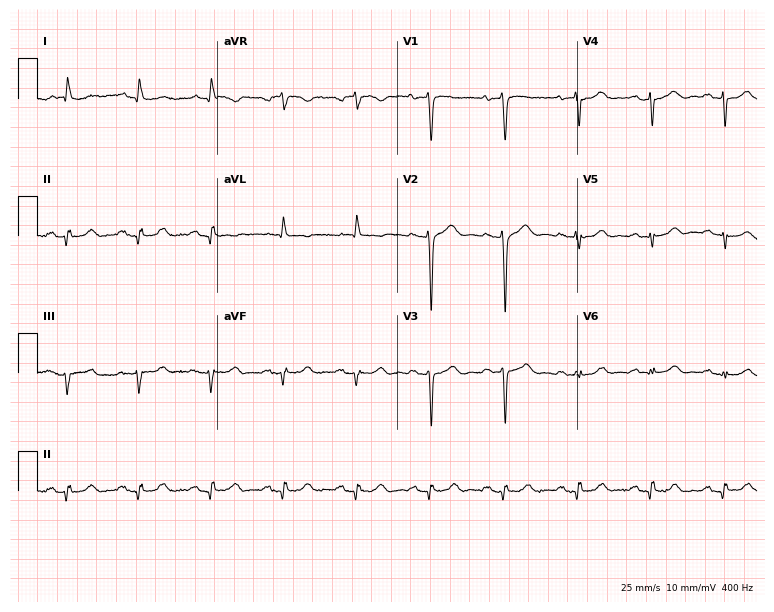
12-lead ECG (7.3-second recording at 400 Hz) from a 73-year-old male patient. Screened for six findings — first-degree AV block, right bundle branch block, left bundle branch block, sinus bradycardia, atrial fibrillation, sinus tachycardia — none is recorded. Other findings, if any, are not listed.